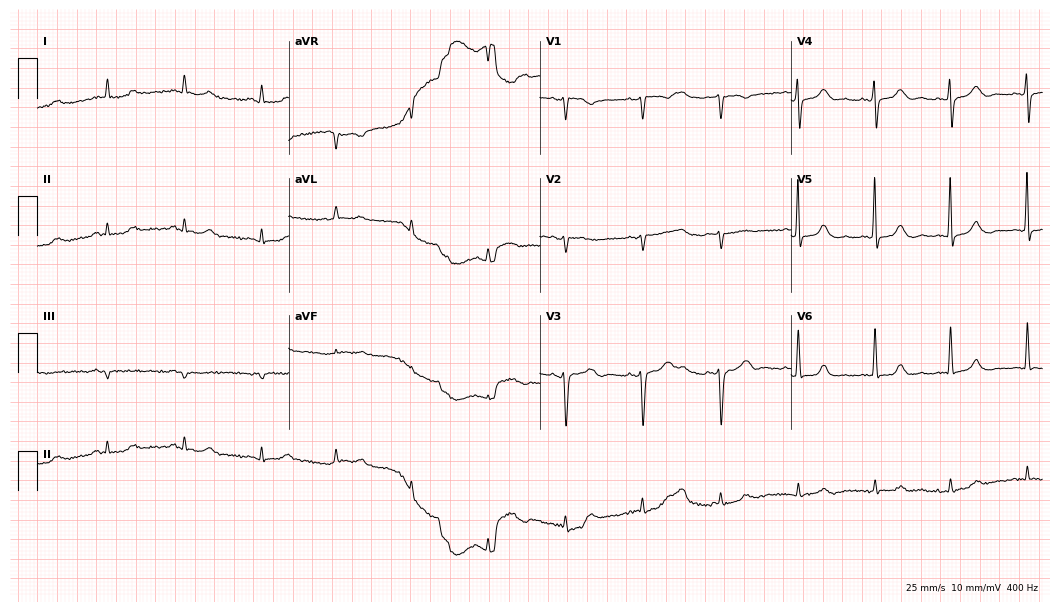
12-lead ECG from an 81-year-old woman. Labelled as a normal ECG.